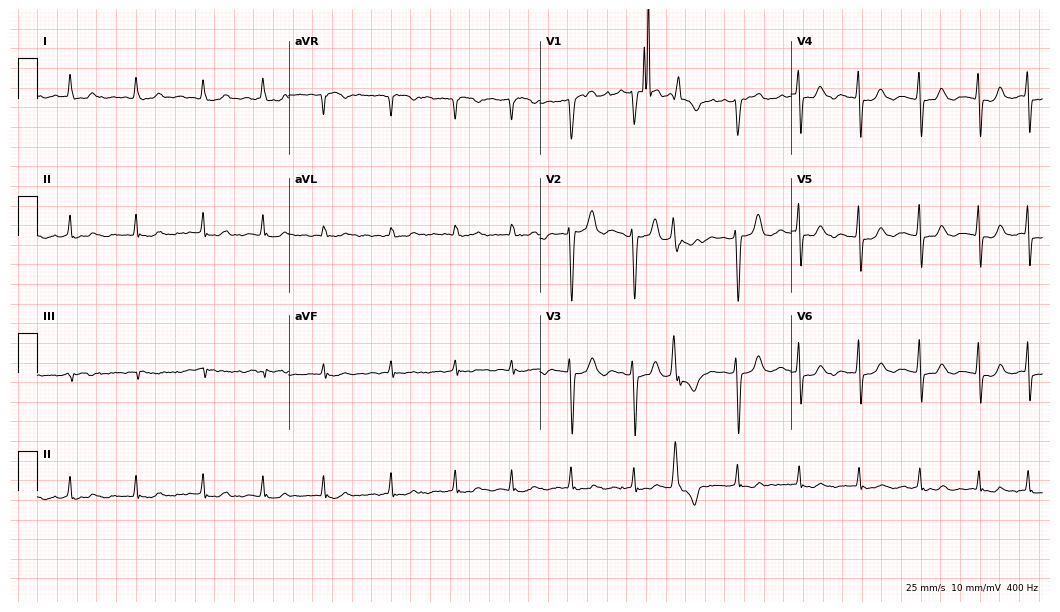
12-lead ECG from a 75-year-old female patient (10.2-second recording at 400 Hz). Shows atrial fibrillation (AF).